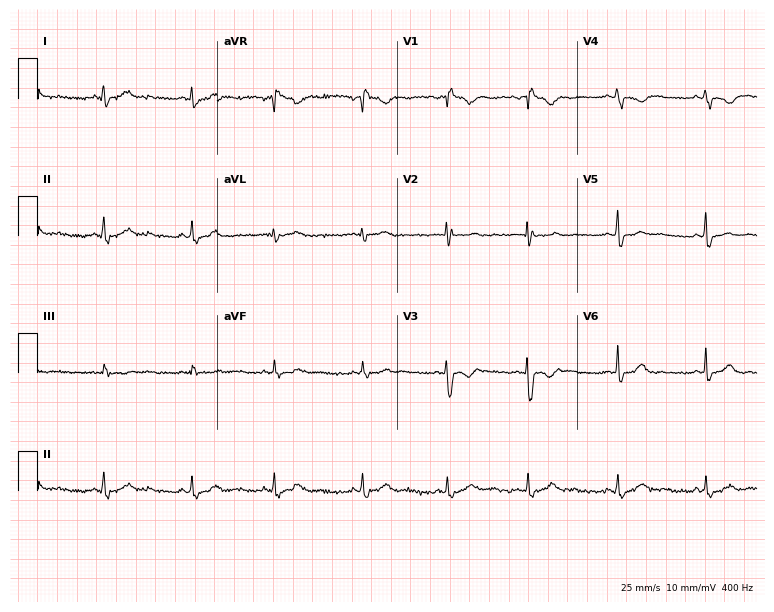
Electrocardiogram (7.3-second recording at 400 Hz), a 20-year-old female patient. Of the six screened findings (first-degree AV block, right bundle branch block (RBBB), left bundle branch block (LBBB), sinus bradycardia, atrial fibrillation (AF), sinus tachycardia), none is recorded.